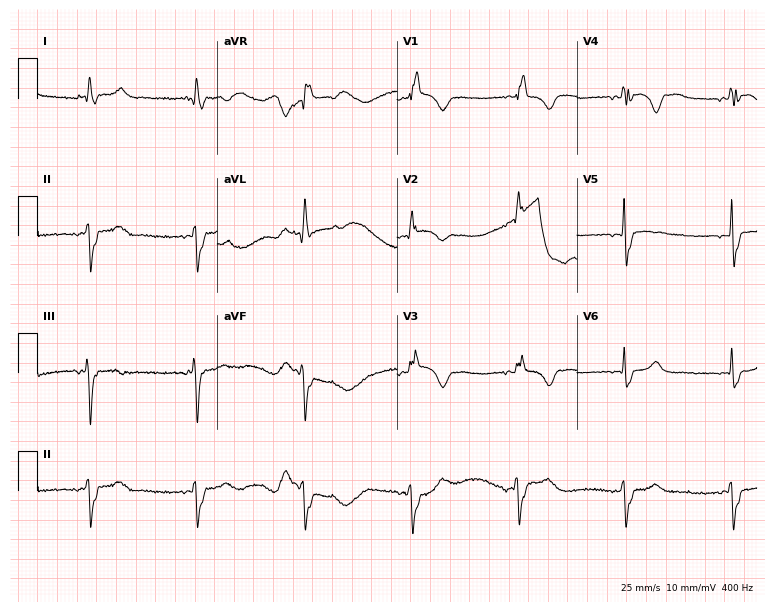
Electrocardiogram, a 38-year-old female patient. Of the six screened findings (first-degree AV block, right bundle branch block, left bundle branch block, sinus bradycardia, atrial fibrillation, sinus tachycardia), none is recorded. Other findings, if any, are not listed.